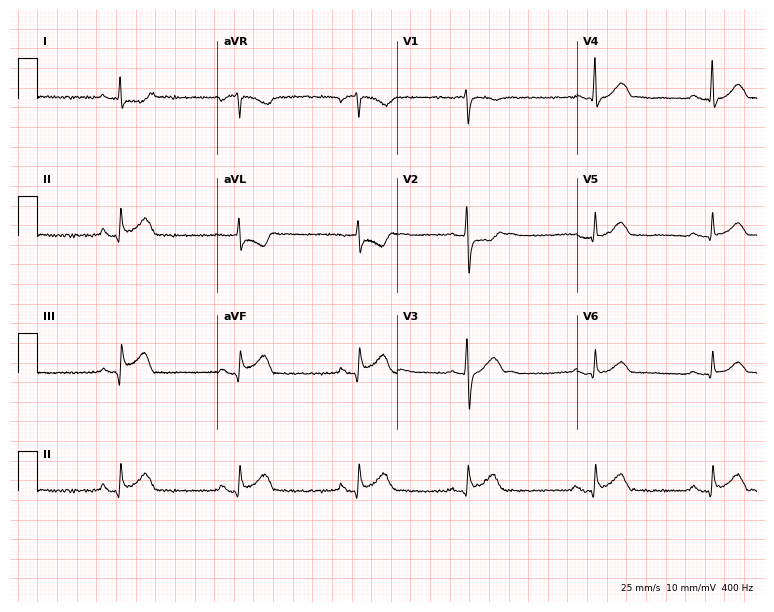
Resting 12-lead electrocardiogram (7.3-second recording at 400 Hz). Patient: a male, 74 years old. None of these six findings is recorded: first-degree AV block, right bundle branch block, left bundle branch block, sinus bradycardia, atrial fibrillation, sinus tachycardia.